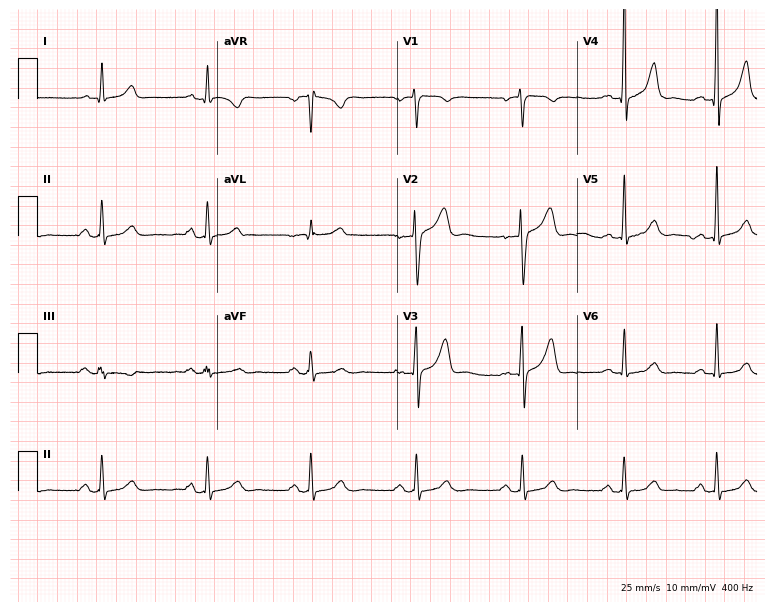
ECG — a man, 38 years old. Screened for six findings — first-degree AV block, right bundle branch block, left bundle branch block, sinus bradycardia, atrial fibrillation, sinus tachycardia — none is recorded.